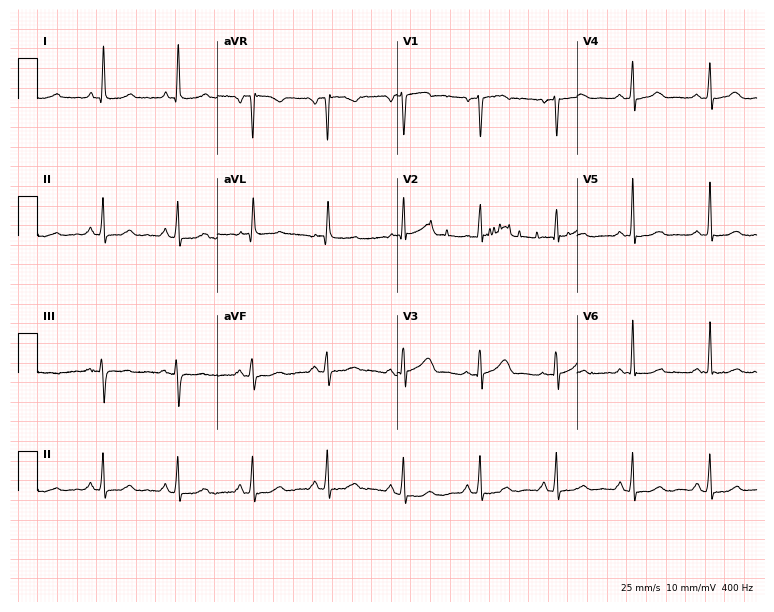
ECG — a woman, 62 years old. Labelled as a normal ECG.